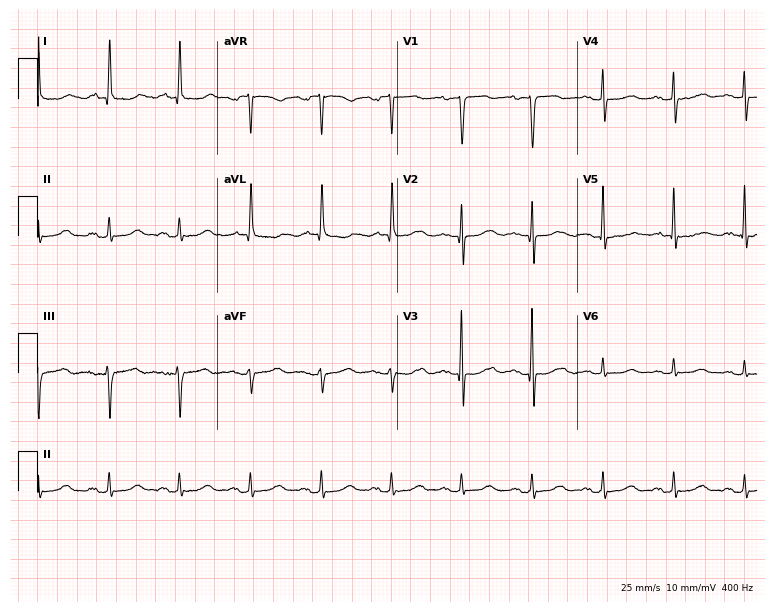
Standard 12-lead ECG recorded from a 79-year-old female. None of these six findings is recorded: first-degree AV block, right bundle branch block, left bundle branch block, sinus bradycardia, atrial fibrillation, sinus tachycardia. Other findings, if any, are not listed.